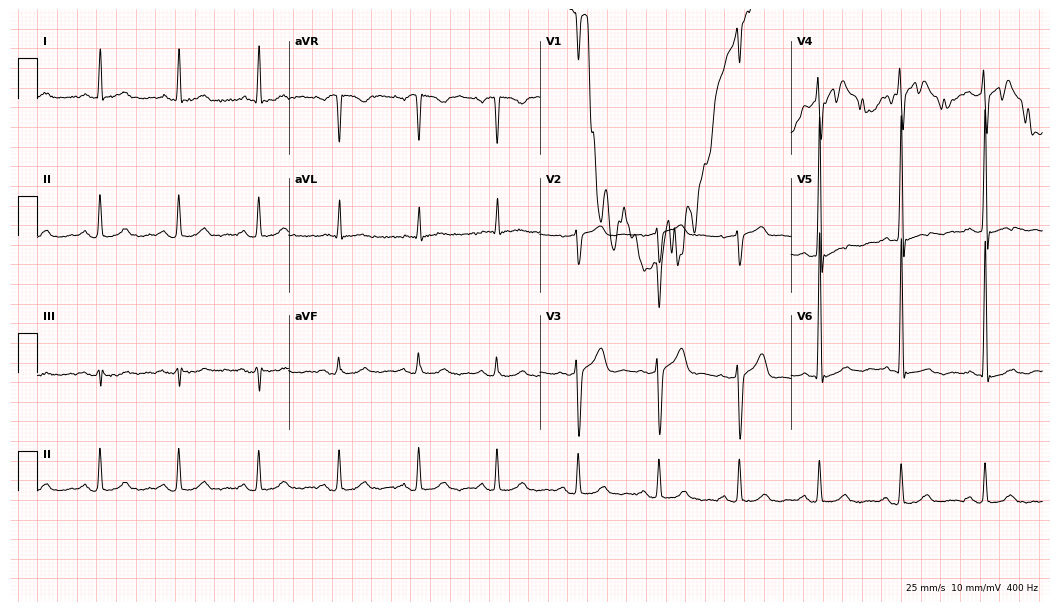
ECG (10.2-second recording at 400 Hz) — a male patient, 64 years old. Screened for six findings — first-degree AV block, right bundle branch block, left bundle branch block, sinus bradycardia, atrial fibrillation, sinus tachycardia — none is recorded.